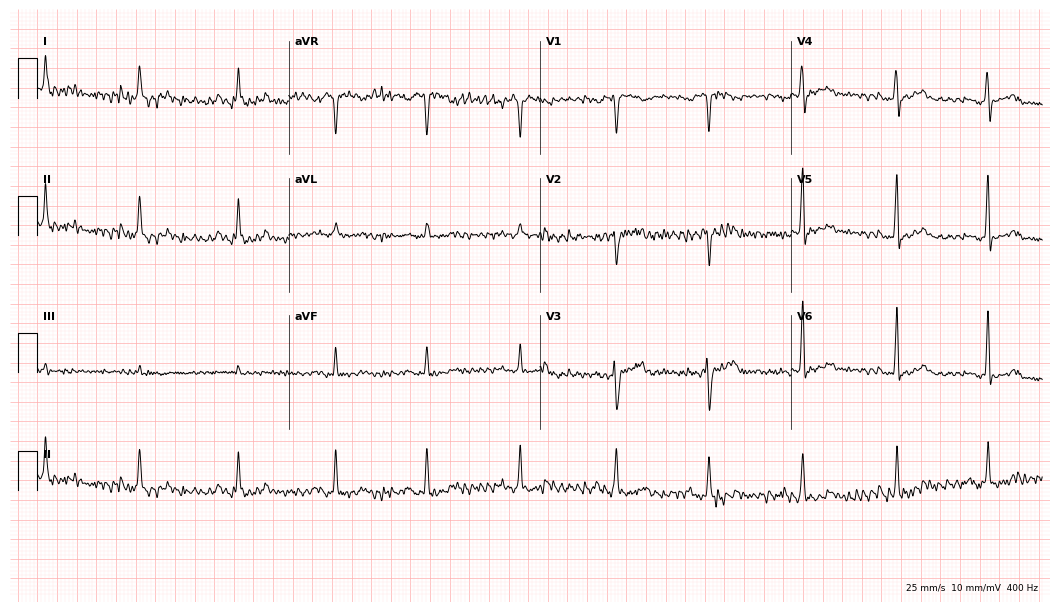
Standard 12-lead ECG recorded from a female patient, 42 years old. None of these six findings is recorded: first-degree AV block, right bundle branch block, left bundle branch block, sinus bradycardia, atrial fibrillation, sinus tachycardia. Findings outside these six are not listed.